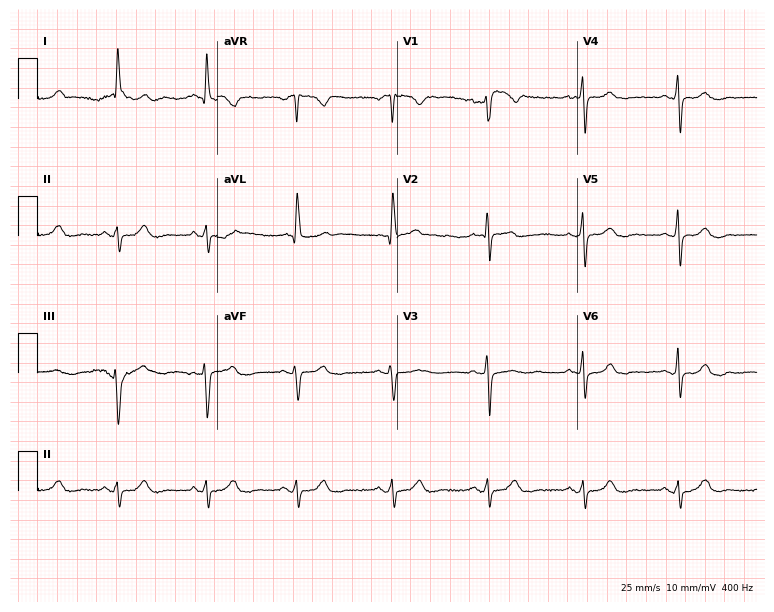
Resting 12-lead electrocardiogram. Patient: a 66-year-old woman. None of these six findings is recorded: first-degree AV block, right bundle branch block, left bundle branch block, sinus bradycardia, atrial fibrillation, sinus tachycardia. Only these six findings were labelled.